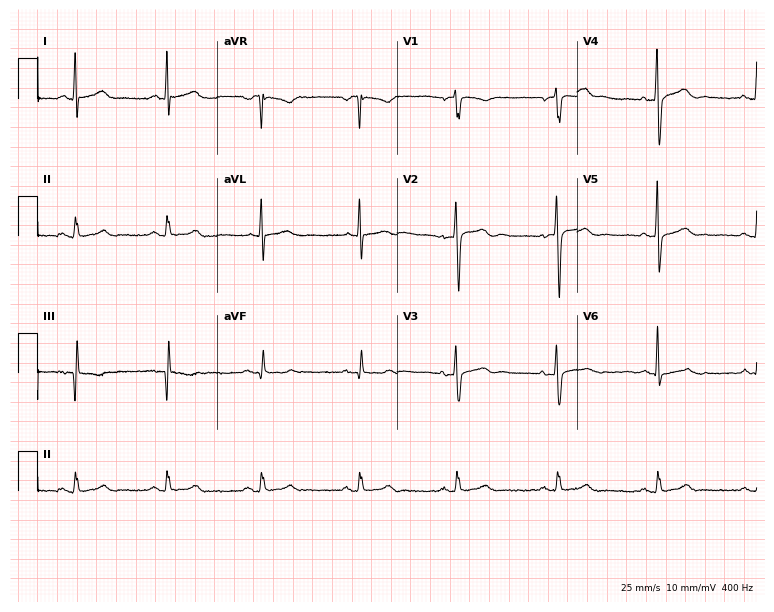
ECG (7.3-second recording at 400 Hz) — a male patient, 51 years old. Labelled as a normal ECG.